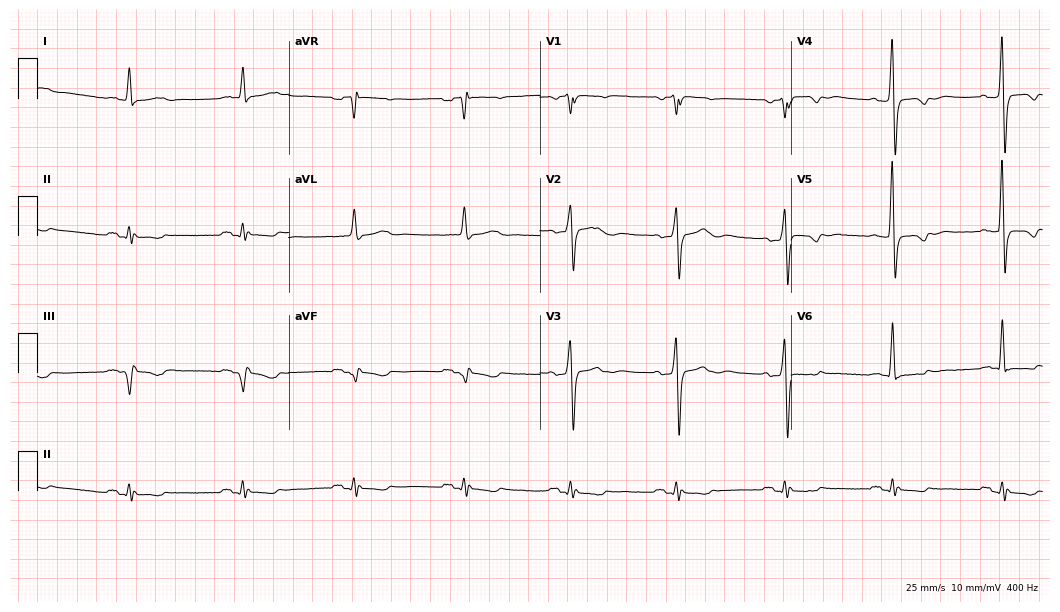
ECG — a 63-year-old male. Screened for six findings — first-degree AV block, right bundle branch block, left bundle branch block, sinus bradycardia, atrial fibrillation, sinus tachycardia — none is recorded. Findings outside these six are not listed.